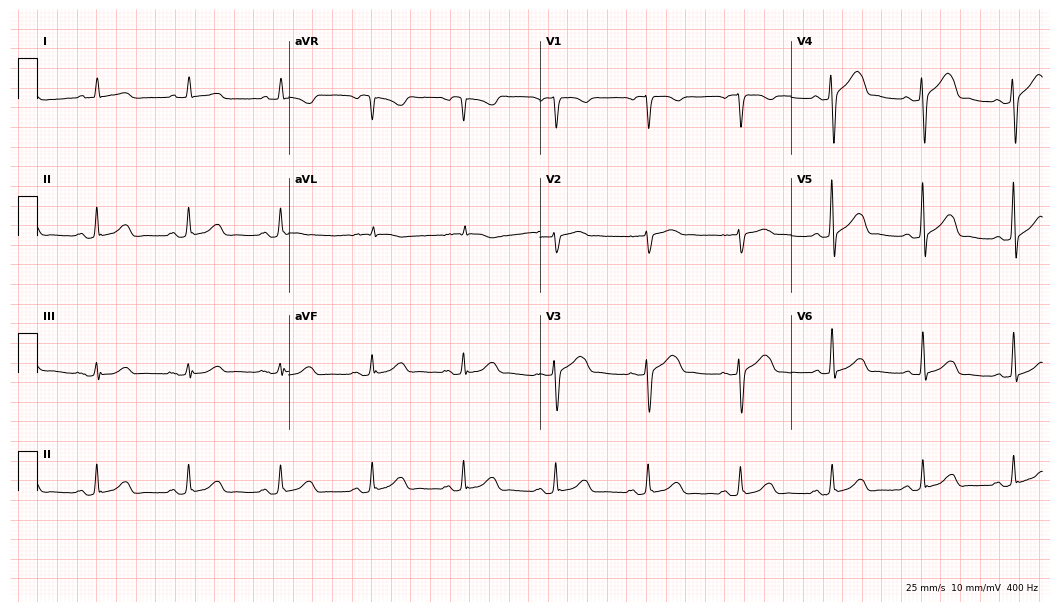
12-lead ECG (10.2-second recording at 400 Hz) from a female patient, 80 years old. Labelled as a normal ECG.